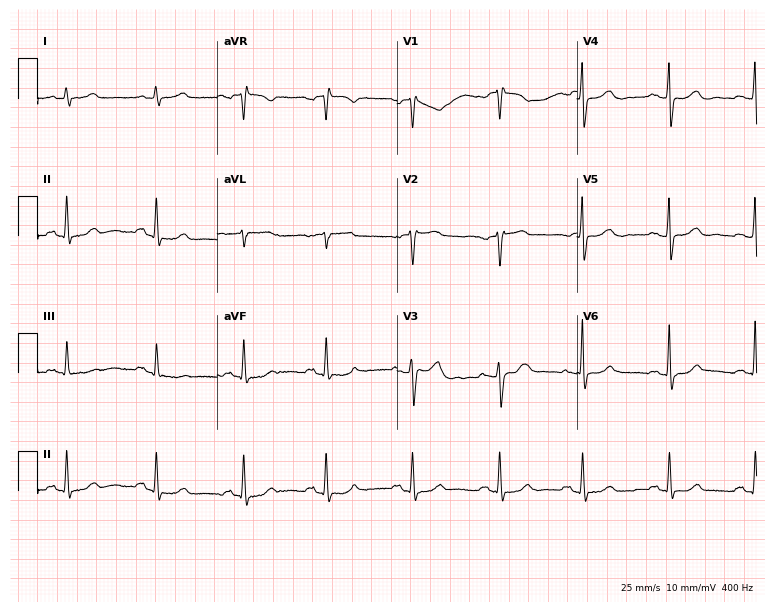
12-lead ECG from a woman, 48 years old (7.3-second recording at 400 Hz). No first-degree AV block, right bundle branch block, left bundle branch block, sinus bradycardia, atrial fibrillation or sinus tachycardia recorded for this tracing.